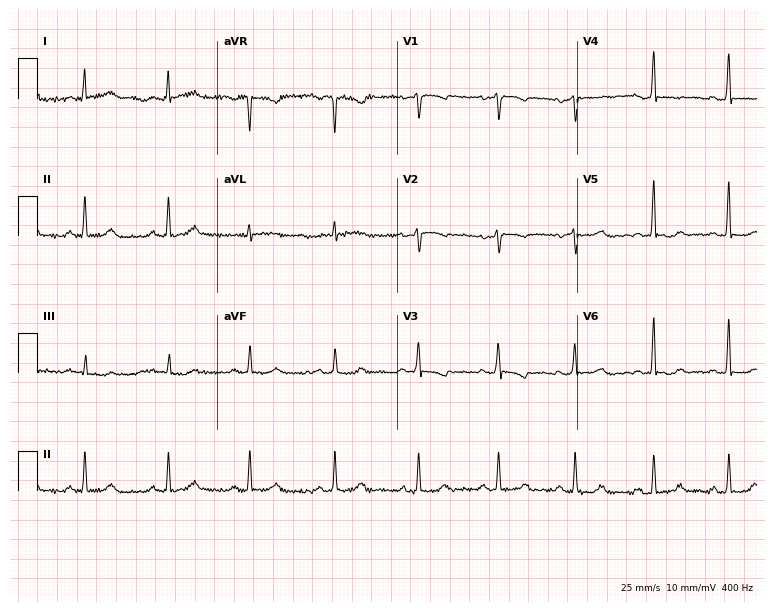
12-lead ECG (7.3-second recording at 400 Hz) from a man, 30 years old. Screened for six findings — first-degree AV block, right bundle branch block, left bundle branch block, sinus bradycardia, atrial fibrillation, sinus tachycardia — none is recorded.